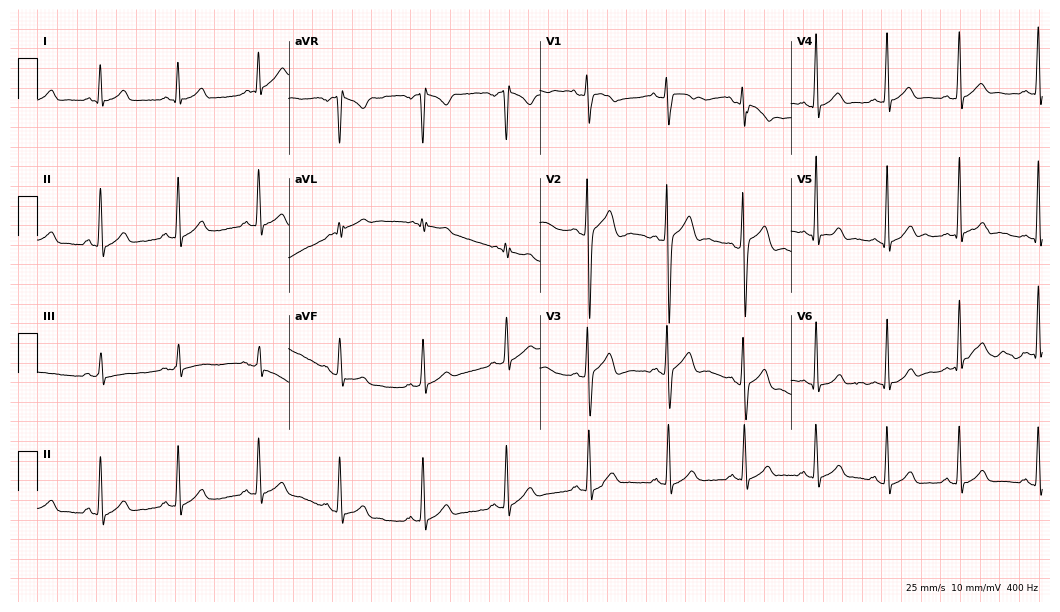
Resting 12-lead electrocardiogram (10.2-second recording at 400 Hz). Patient: a male, 21 years old. Read as a normal ECG.